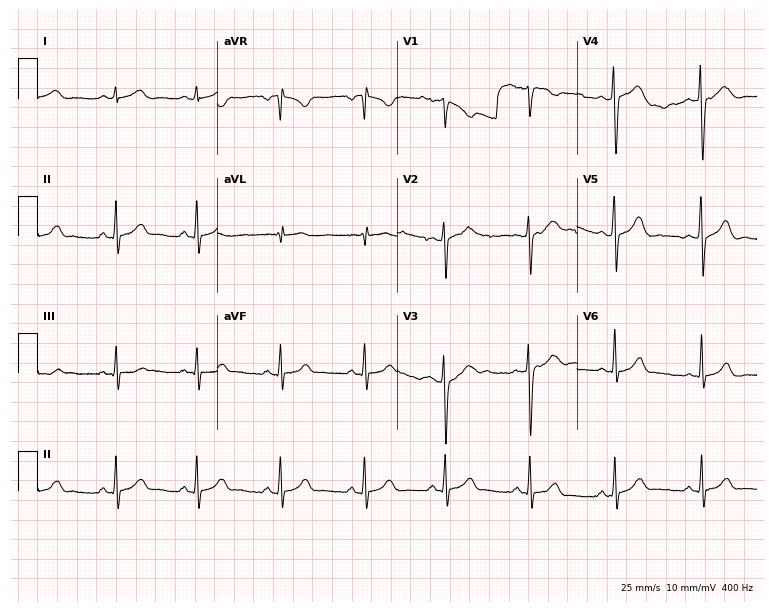
Resting 12-lead electrocardiogram. Patient: a 22-year-old female. None of these six findings is recorded: first-degree AV block, right bundle branch block, left bundle branch block, sinus bradycardia, atrial fibrillation, sinus tachycardia.